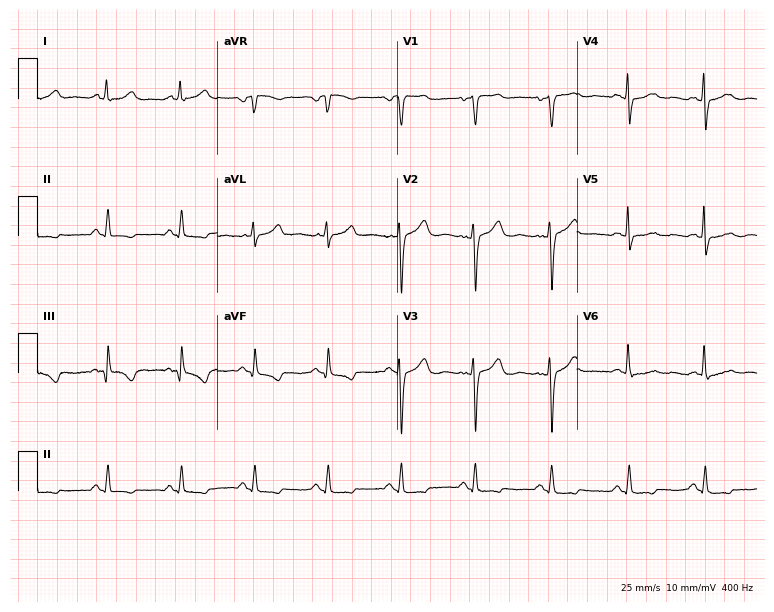
Standard 12-lead ECG recorded from a 50-year-old female patient. None of these six findings is recorded: first-degree AV block, right bundle branch block (RBBB), left bundle branch block (LBBB), sinus bradycardia, atrial fibrillation (AF), sinus tachycardia.